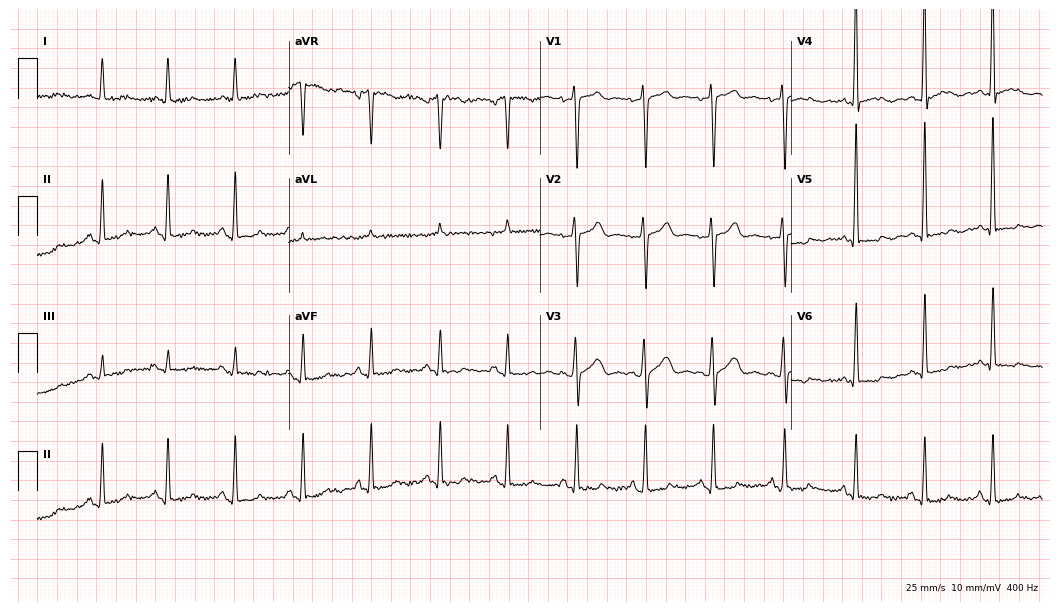
Standard 12-lead ECG recorded from a male, 61 years old (10.2-second recording at 400 Hz). Read as a normal ECG.